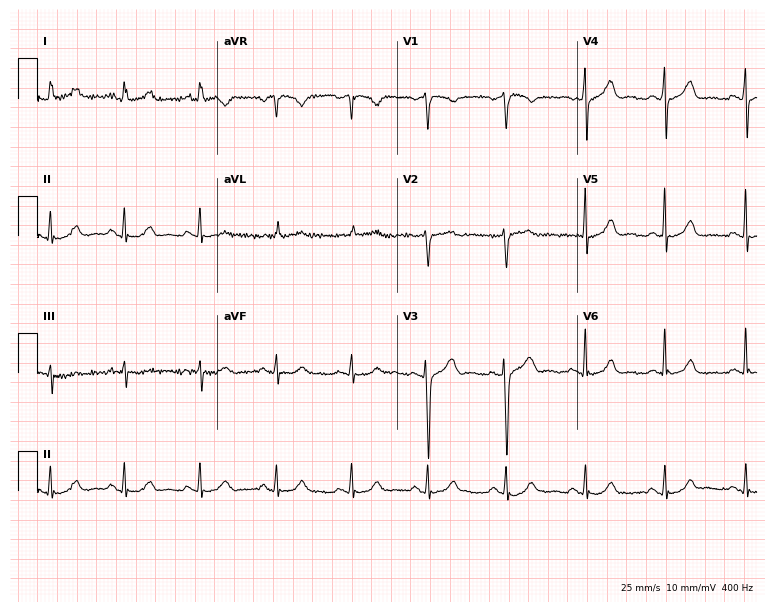
12-lead ECG (7.3-second recording at 400 Hz) from a 52-year-old female. Labelled as a normal ECG.